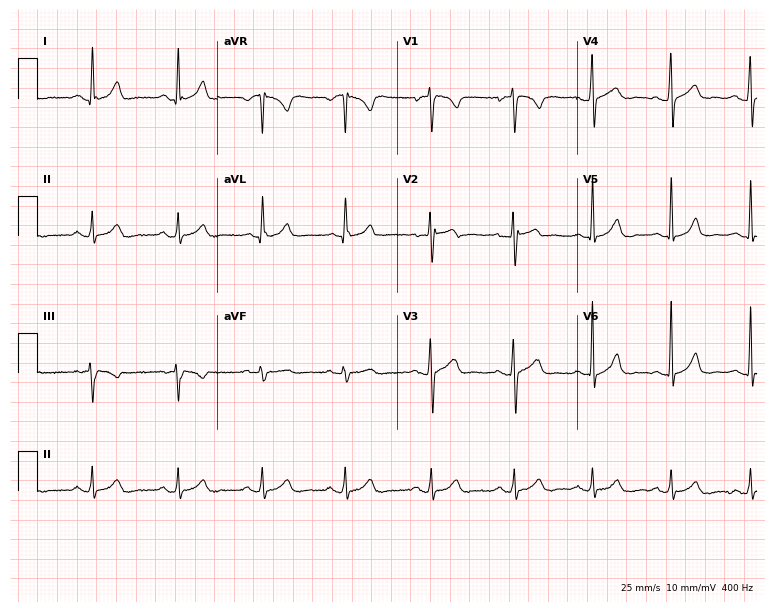
Resting 12-lead electrocardiogram (7.3-second recording at 400 Hz). Patient: a male, 25 years old. Read as a normal ECG.